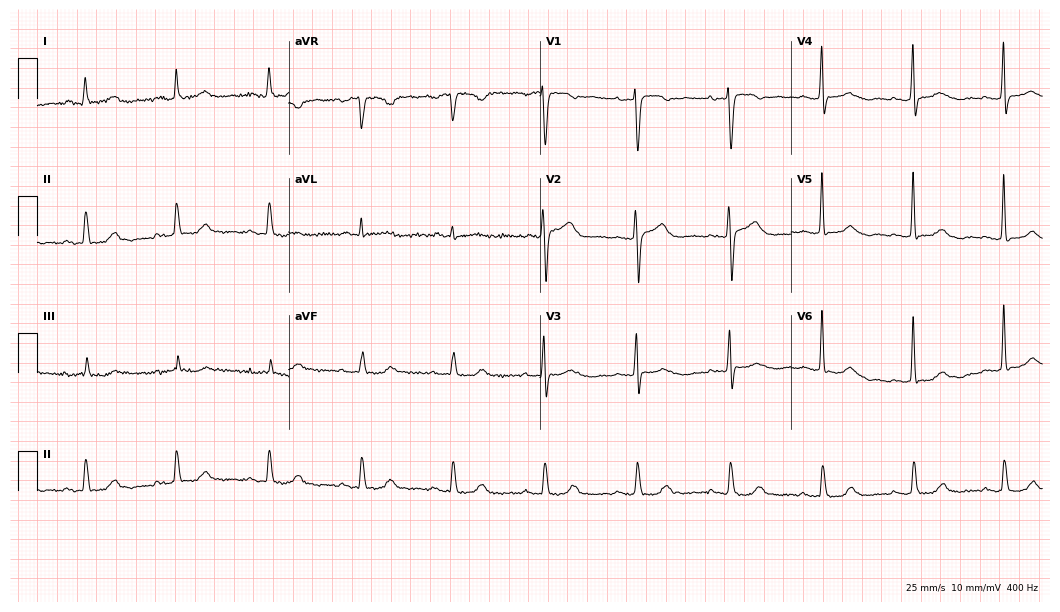
12-lead ECG from a female, 76 years old. Labelled as a normal ECG.